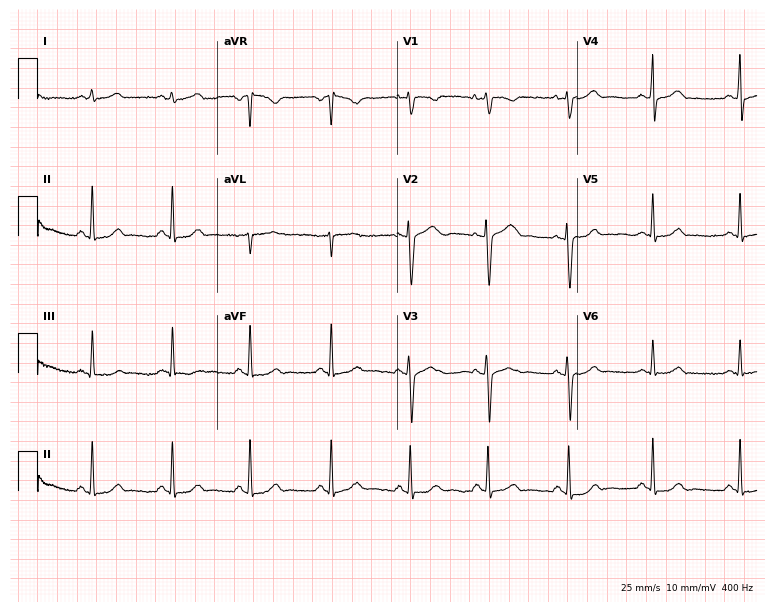
12-lead ECG (7.3-second recording at 400 Hz) from a woman, 19 years old. Labelled as a normal ECG.